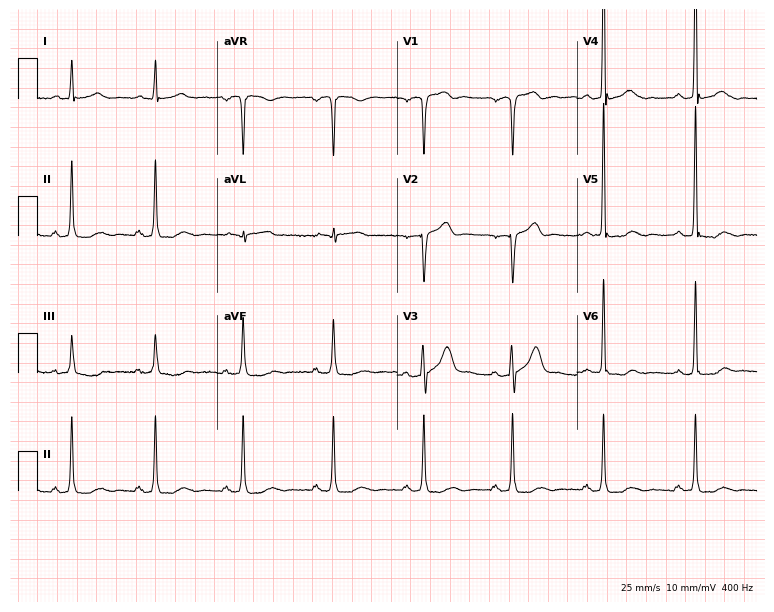
12-lead ECG (7.3-second recording at 400 Hz) from a 61-year-old male. Screened for six findings — first-degree AV block, right bundle branch block, left bundle branch block, sinus bradycardia, atrial fibrillation, sinus tachycardia — none is recorded.